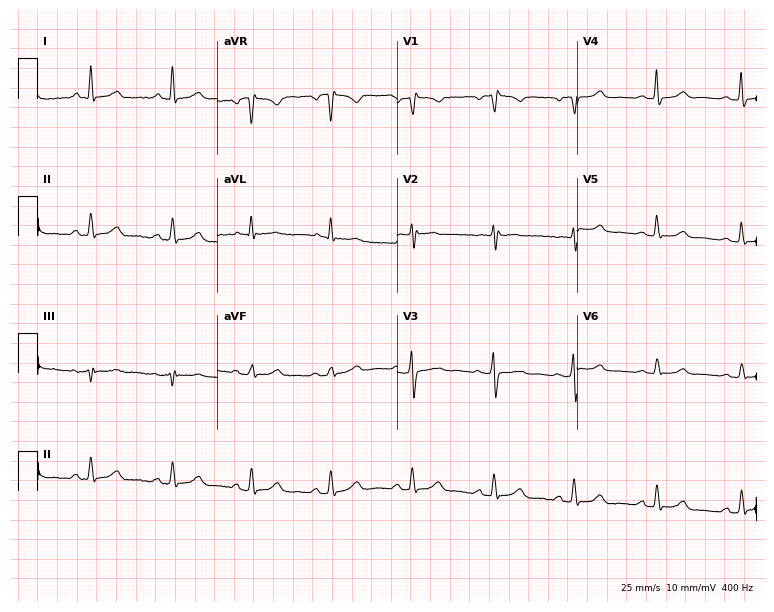
Resting 12-lead electrocardiogram (7.3-second recording at 400 Hz). Patient: a female, 59 years old. None of these six findings is recorded: first-degree AV block, right bundle branch block, left bundle branch block, sinus bradycardia, atrial fibrillation, sinus tachycardia. Only these six findings were labelled.